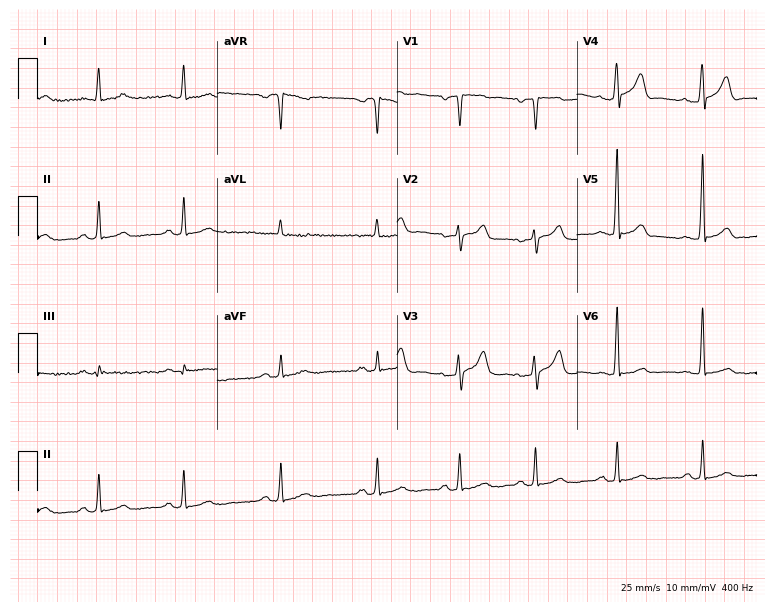
12-lead ECG from a 53-year-old male (7.3-second recording at 400 Hz). No first-degree AV block, right bundle branch block, left bundle branch block, sinus bradycardia, atrial fibrillation or sinus tachycardia recorded for this tracing.